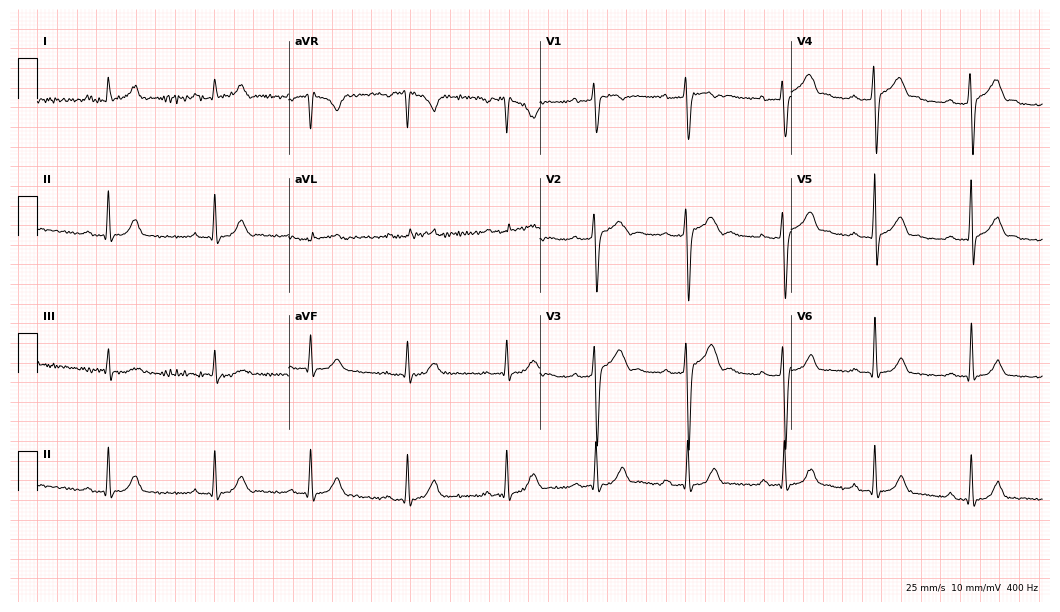
Resting 12-lead electrocardiogram. Patient: a male, 21 years old. The tracing shows first-degree AV block.